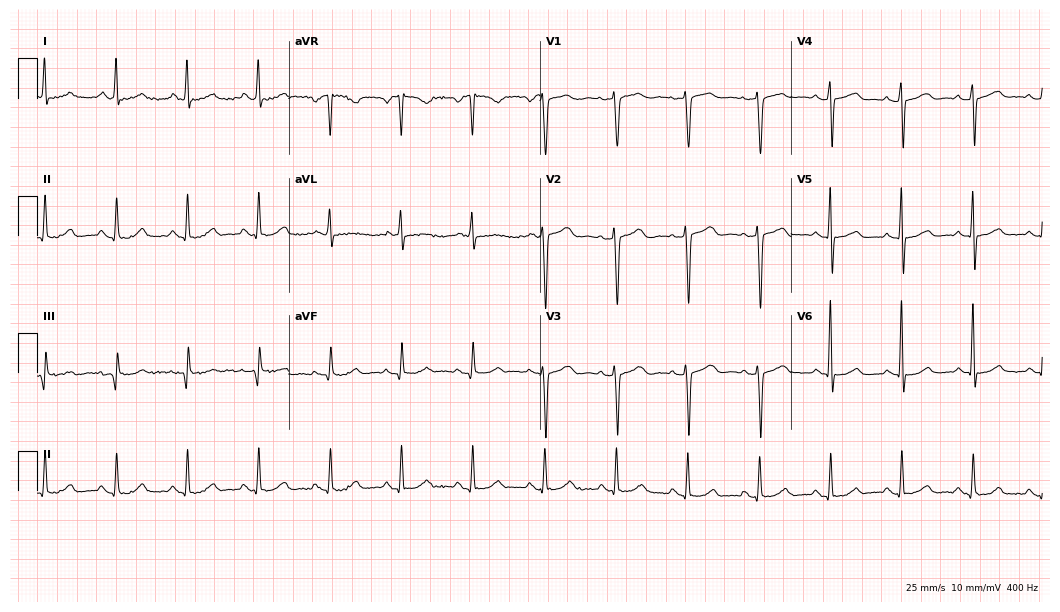
Resting 12-lead electrocardiogram (10.2-second recording at 400 Hz). Patient: a woman, 75 years old. Read as a normal ECG.